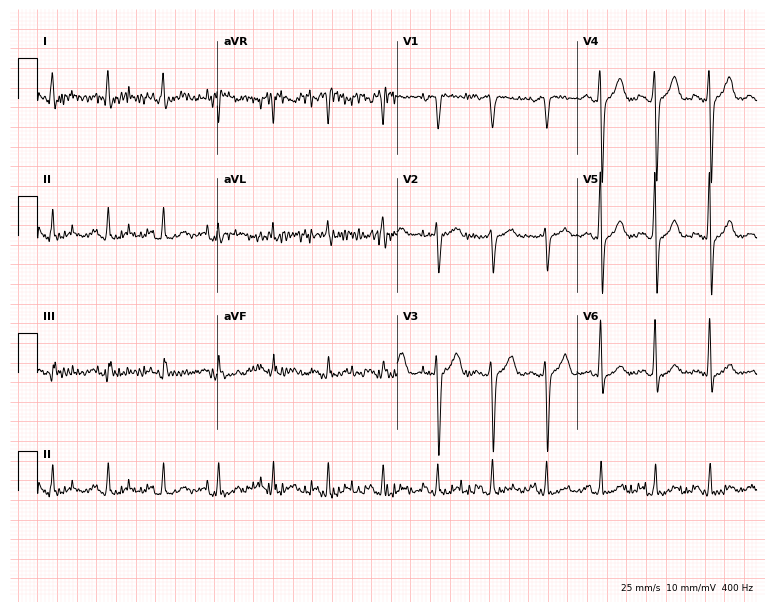
ECG (7.3-second recording at 400 Hz) — a 62-year-old male. Screened for six findings — first-degree AV block, right bundle branch block (RBBB), left bundle branch block (LBBB), sinus bradycardia, atrial fibrillation (AF), sinus tachycardia — none is recorded.